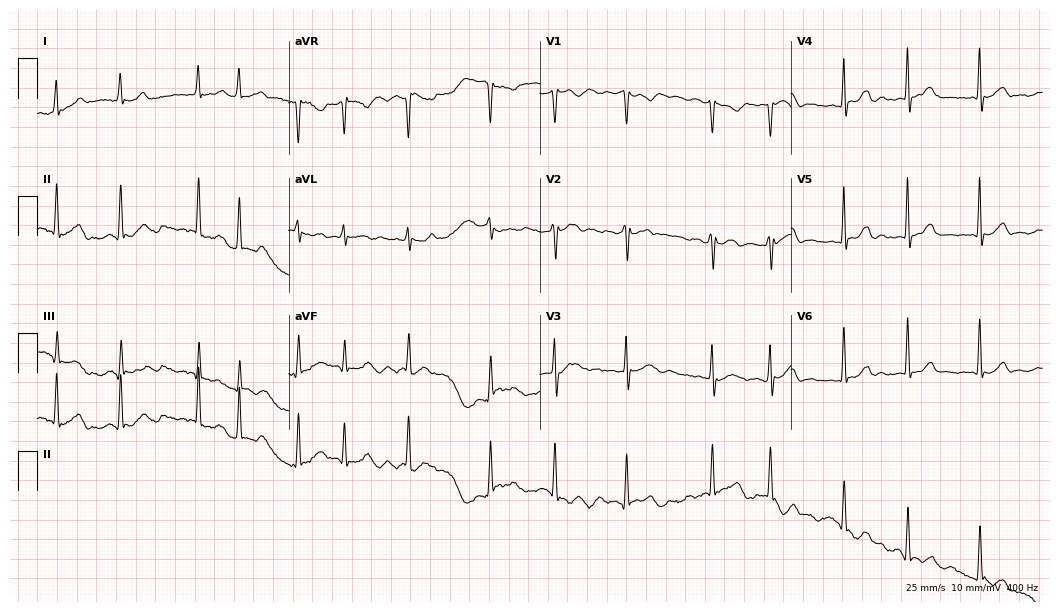
Resting 12-lead electrocardiogram (10.2-second recording at 400 Hz). Patient: a 75-year-old female. The tracing shows atrial fibrillation (AF).